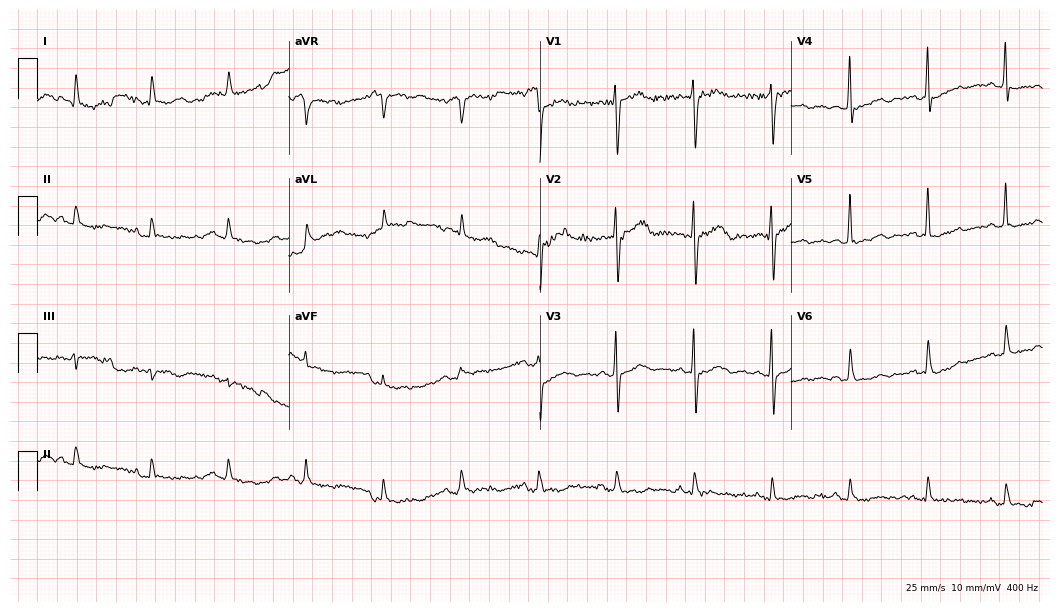
12-lead ECG (10.2-second recording at 400 Hz) from an 85-year-old man. Screened for six findings — first-degree AV block, right bundle branch block (RBBB), left bundle branch block (LBBB), sinus bradycardia, atrial fibrillation (AF), sinus tachycardia — none is recorded. Other findings, if any, are not listed.